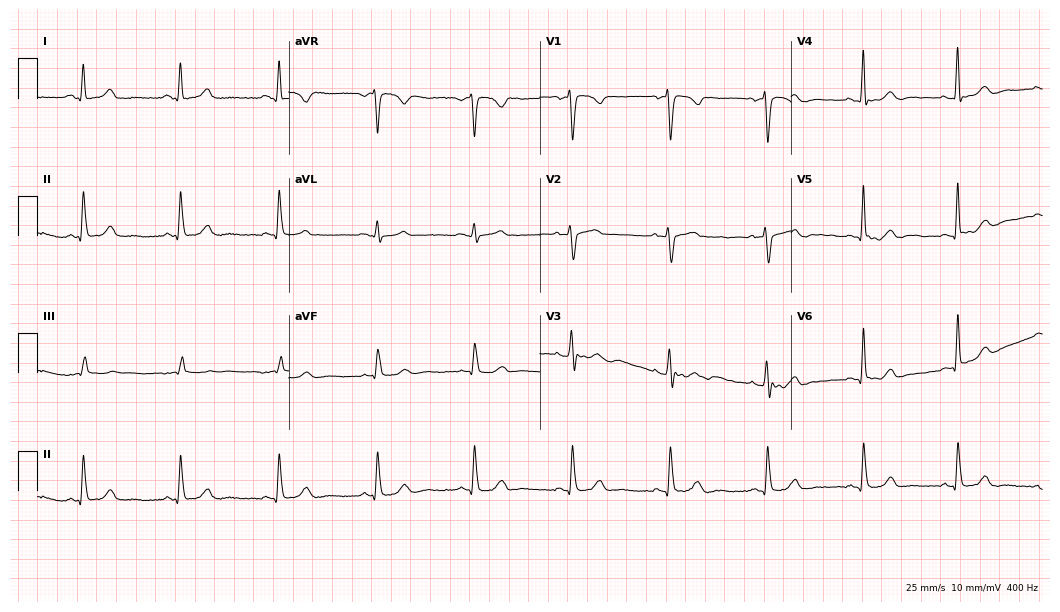
12-lead ECG from a woman, 50 years old (10.2-second recording at 400 Hz). Recorded interpretation: within normal limits.